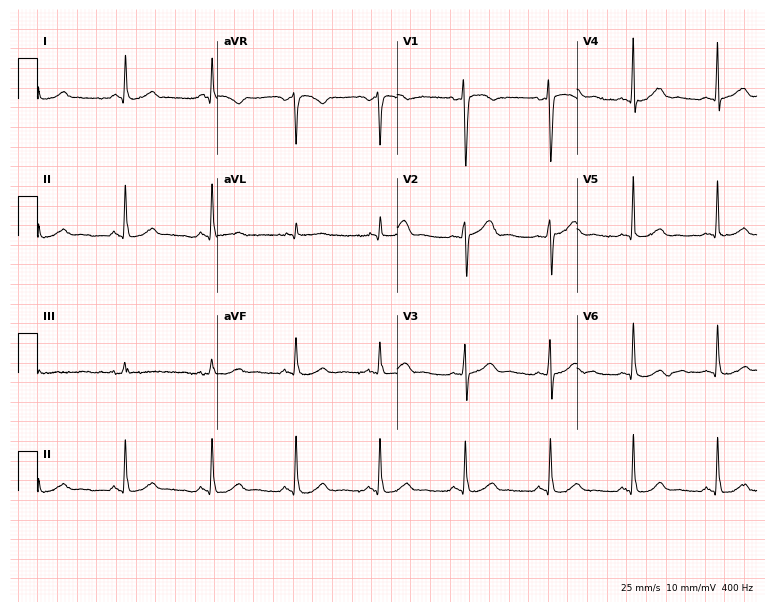
Electrocardiogram (7.3-second recording at 400 Hz), a female, 48 years old. Overall reading on record: normal ECG.